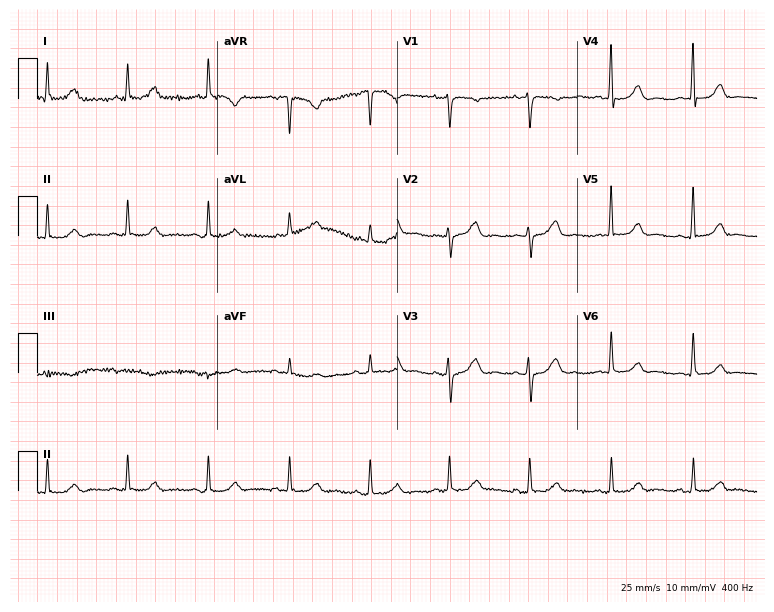
Electrocardiogram (7.3-second recording at 400 Hz), a female, 62 years old. Overall reading on record: normal ECG.